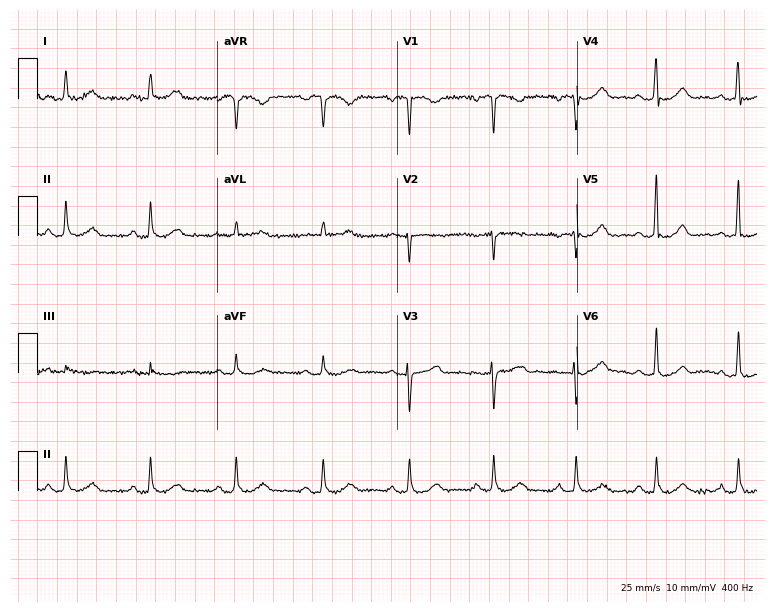
12-lead ECG from a 56-year-old female patient. Labelled as a normal ECG.